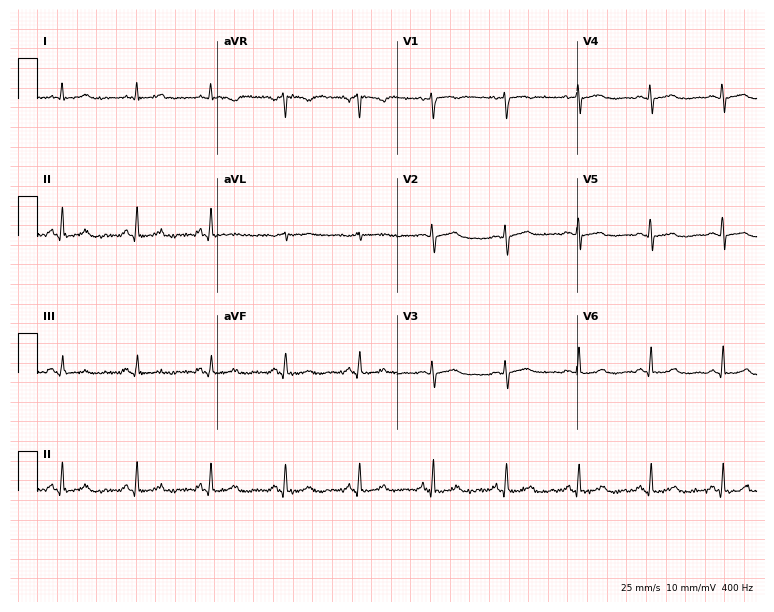
Resting 12-lead electrocardiogram (7.3-second recording at 400 Hz). Patient: a 54-year-old woman. Read as a normal ECG.